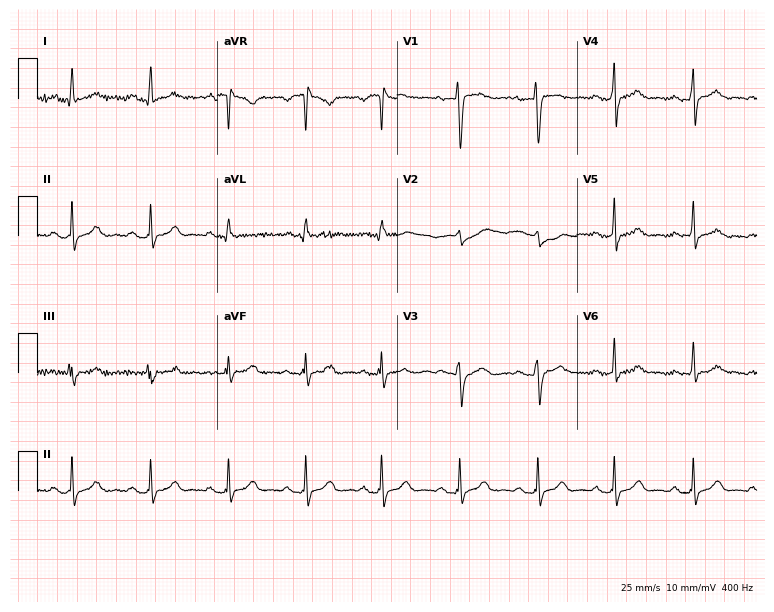
12-lead ECG from a man, 46 years old. Labelled as a normal ECG.